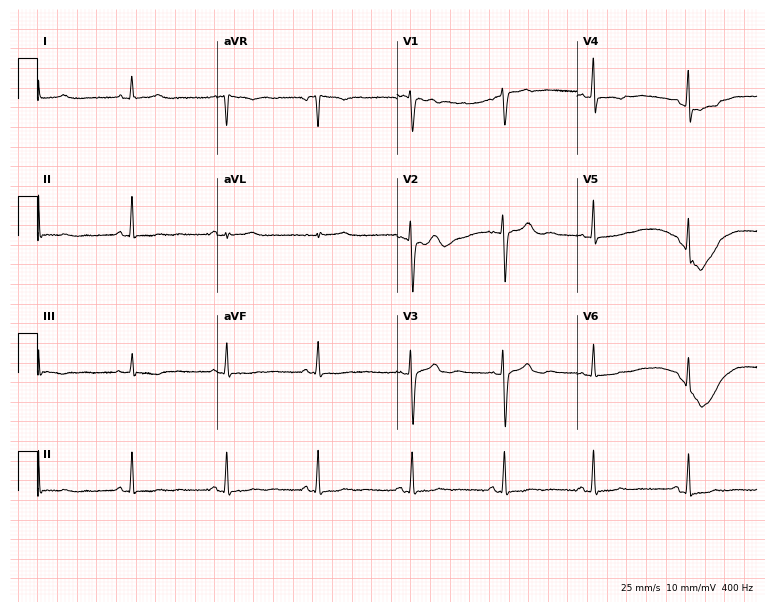
ECG — a woman, 43 years old. Screened for six findings — first-degree AV block, right bundle branch block (RBBB), left bundle branch block (LBBB), sinus bradycardia, atrial fibrillation (AF), sinus tachycardia — none is recorded. Only these six findings were labelled.